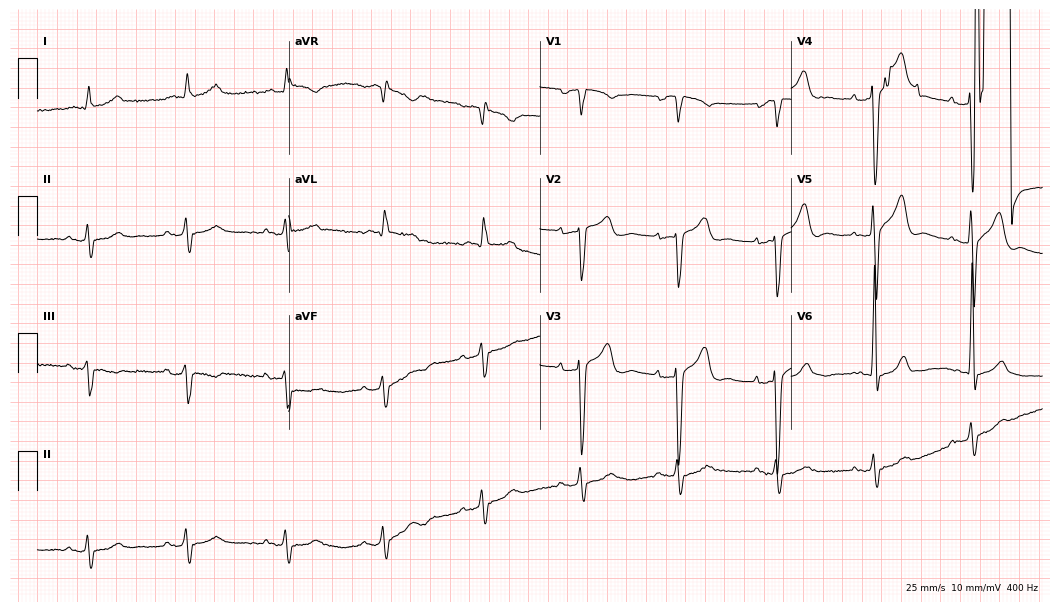
12-lead ECG from a male patient, 82 years old (10.2-second recording at 400 Hz). No first-degree AV block, right bundle branch block, left bundle branch block, sinus bradycardia, atrial fibrillation or sinus tachycardia recorded for this tracing.